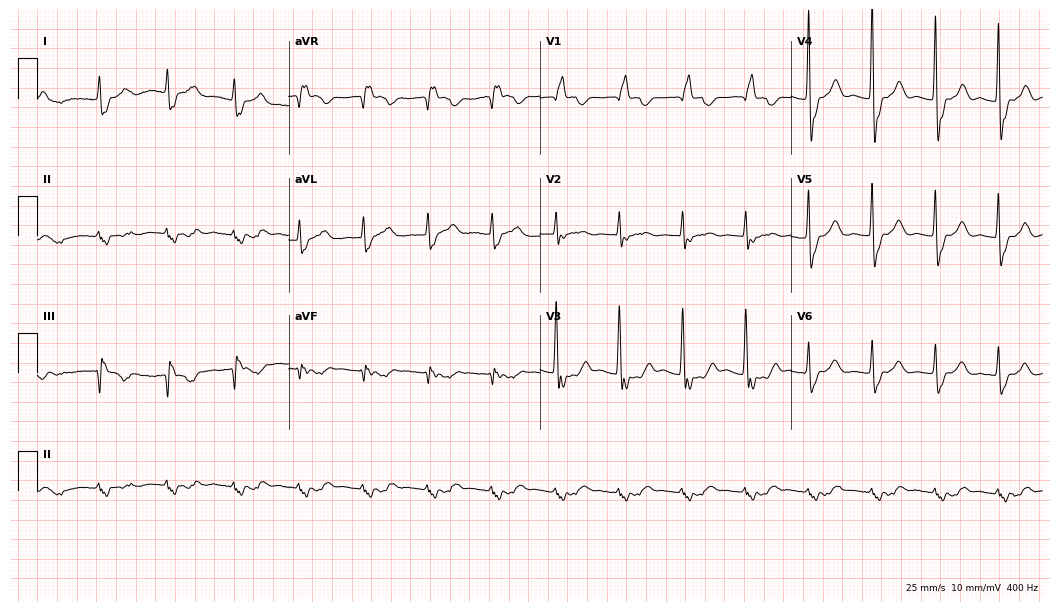
Standard 12-lead ECG recorded from a female patient, 83 years old. The tracing shows right bundle branch block.